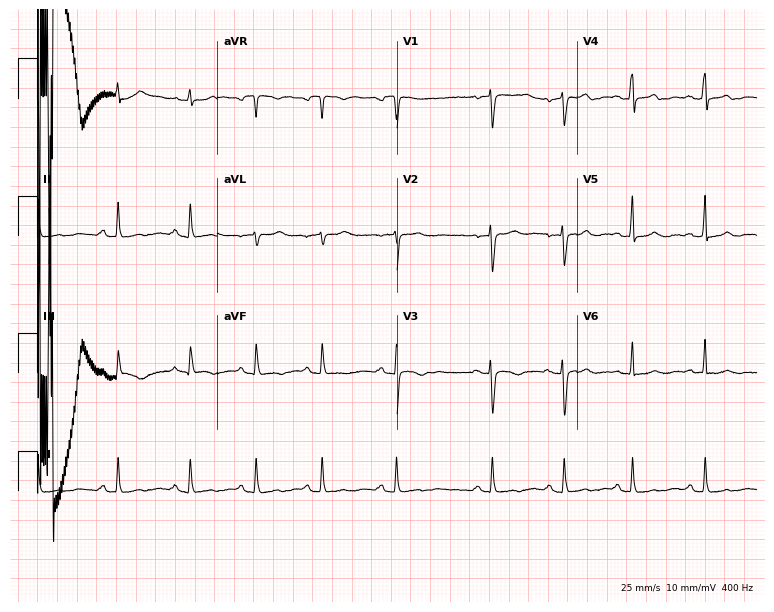
Resting 12-lead electrocardiogram (7.3-second recording at 400 Hz). Patient: a female, 24 years old. None of these six findings is recorded: first-degree AV block, right bundle branch block, left bundle branch block, sinus bradycardia, atrial fibrillation, sinus tachycardia. Other findings, if any, are not listed.